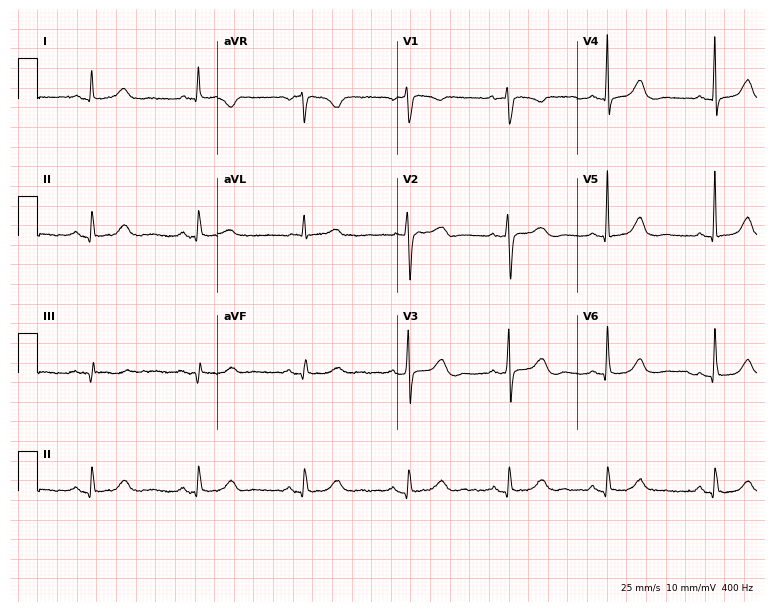
12-lead ECG (7.3-second recording at 400 Hz) from a male, 66 years old. Labelled as a normal ECG.